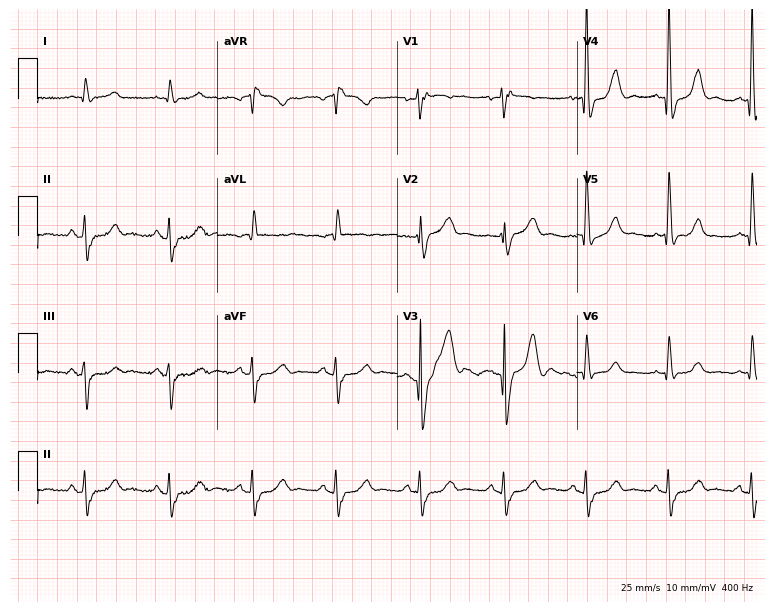
12-lead ECG from an 83-year-old male. Findings include right bundle branch block.